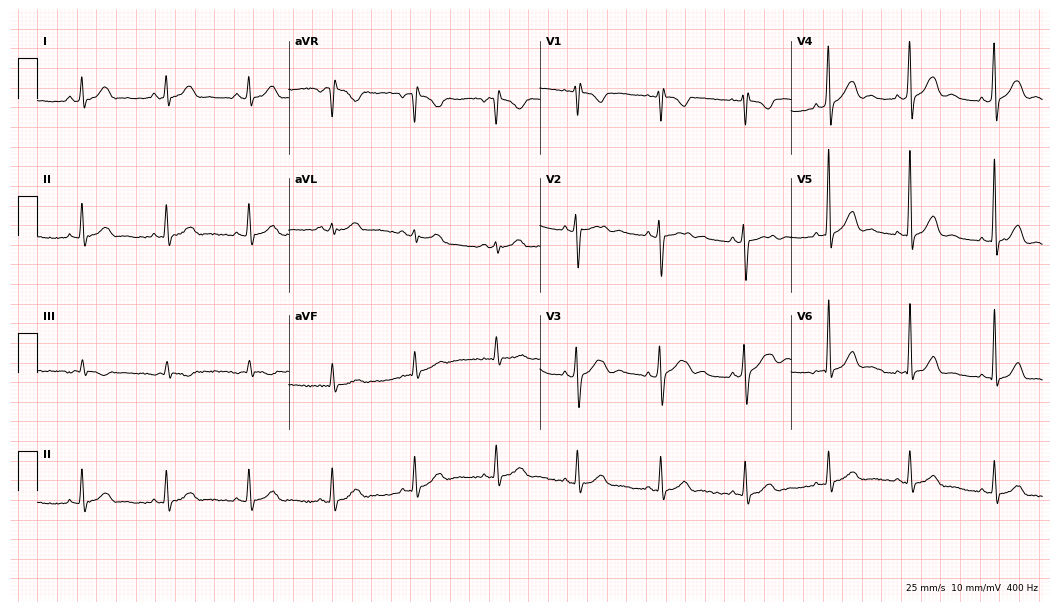
ECG (10.2-second recording at 400 Hz) — a 27-year-old female. Screened for six findings — first-degree AV block, right bundle branch block (RBBB), left bundle branch block (LBBB), sinus bradycardia, atrial fibrillation (AF), sinus tachycardia — none is recorded.